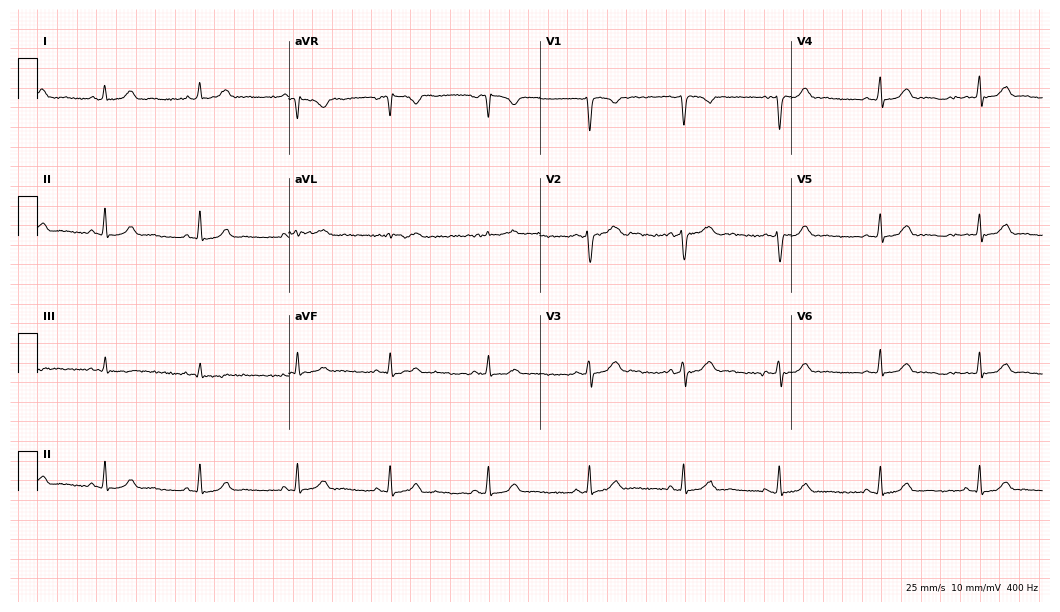
12-lead ECG from a 24-year-old female patient. Labelled as a normal ECG.